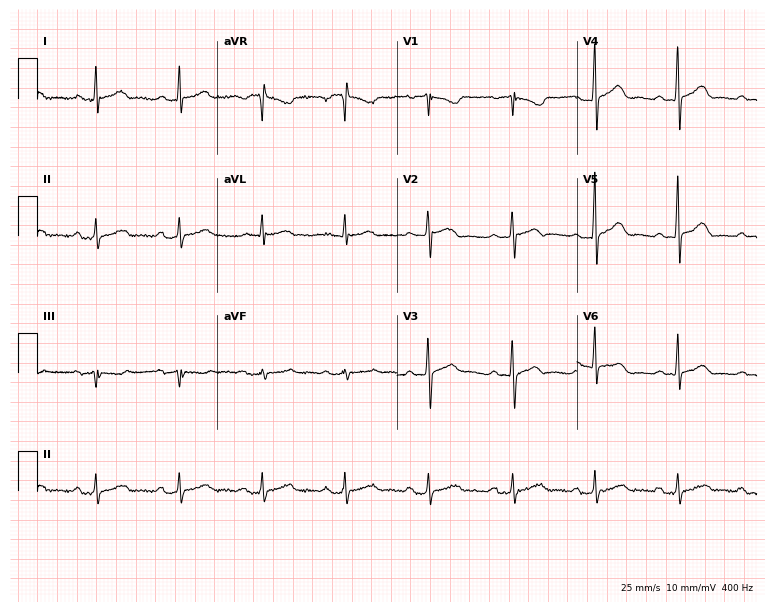
Electrocardiogram (7.3-second recording at 400 Hz), a woman, 73 years old. Interpretation includes first-degree AV block.